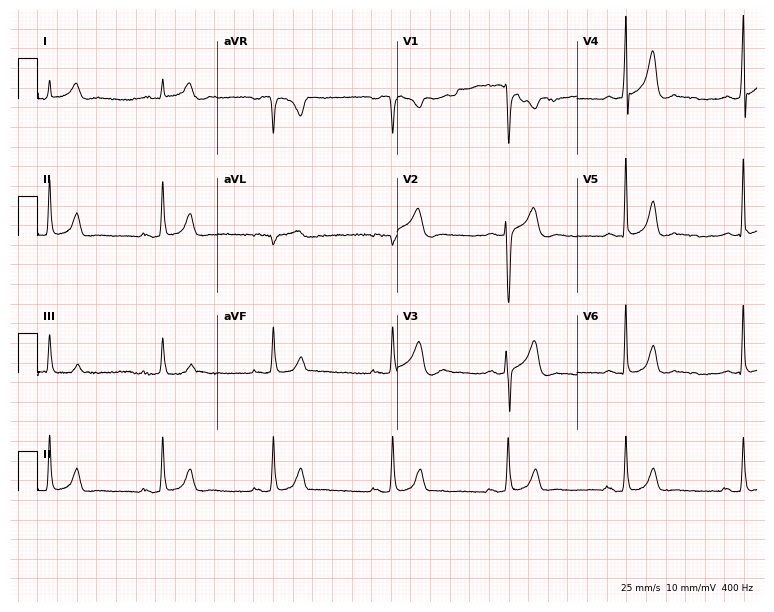
Standard 12-lead ECG recorded from a 40-year-old male patient. None of these six findings is recorded: first-degree AV block, right bundle branch block (RBBB), left bundle branch block (LBBB), sinus bradycardia, atrial fibrillation (AF), sinus tachycardia. Only these six findings were labelled.